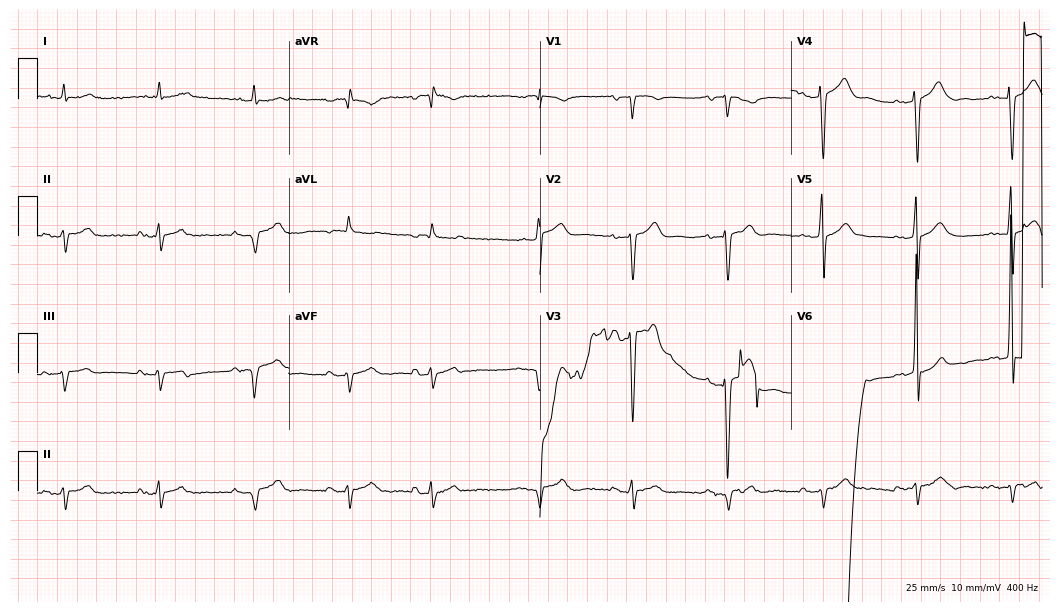
ECG (10.2-second recording at 400 Hz) — a 79-year-old man. Screened for six findings — first-degree AV block, right bundle branch block, left bundle branch block, sinus bradycardia, atrial fibrillation, sinus tachycardia — none is recorded. Only these six findings were labelled.